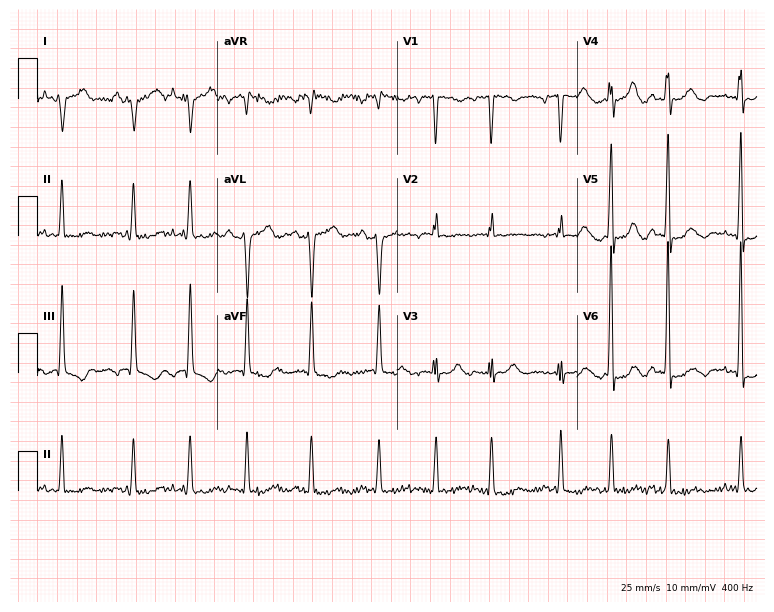
Standard 12-lead ECG recorded from a woman, 81 years old (7.3-second recording at 400 Hz). None of these six findings is recorded: first-degree AV block, right bundle branch block, left bundle branch block, sinus bradycardia, atrial fibrillation, sinus tachycardia.